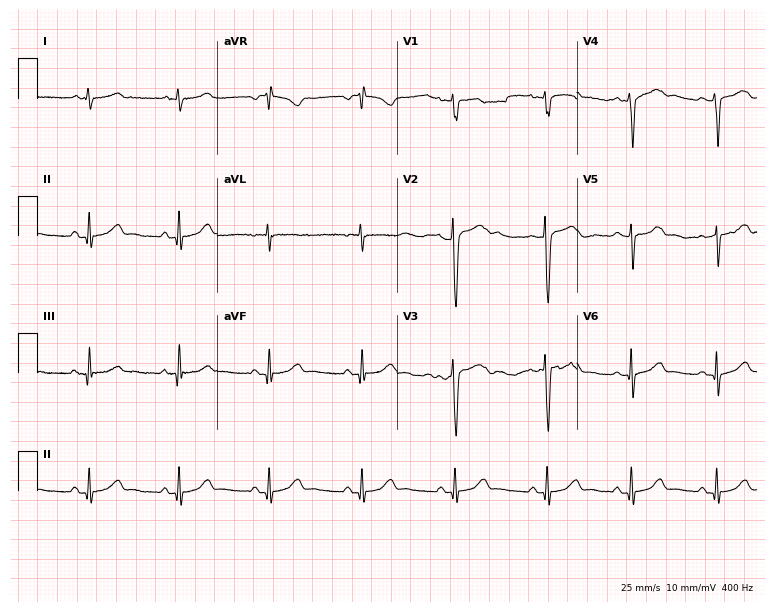
Resting 12-lead electrocardiogram (7.3-second recording at 400 Hz). Patient: a 35-year-old female. Read as a normal ECG.